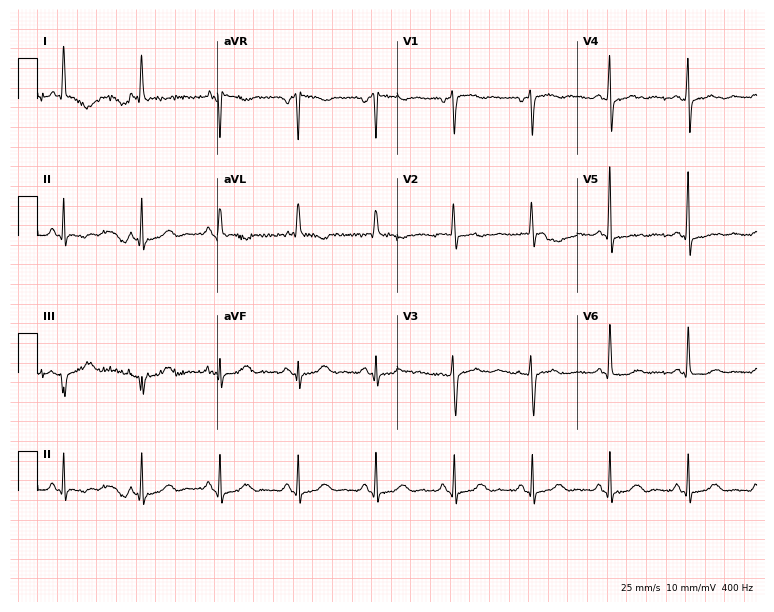
12-lead ECG (7.3-second recording at 400 Hz) from a woman, 78 years old. Screened for six findings — first-degree AV block, right bundle branch block, left bundle branch block, sinus bradycardia, atrial fibrillation, sinus tachycardia — none is recorded.